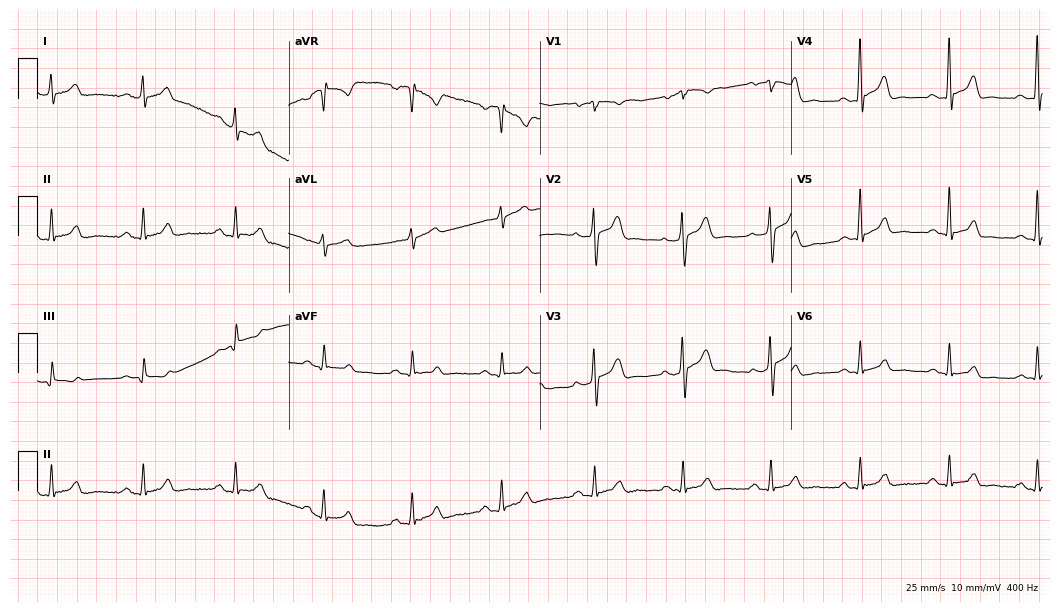
Electrocardiogram, a 43-year-old male. Overall reading on record: normal ECG.